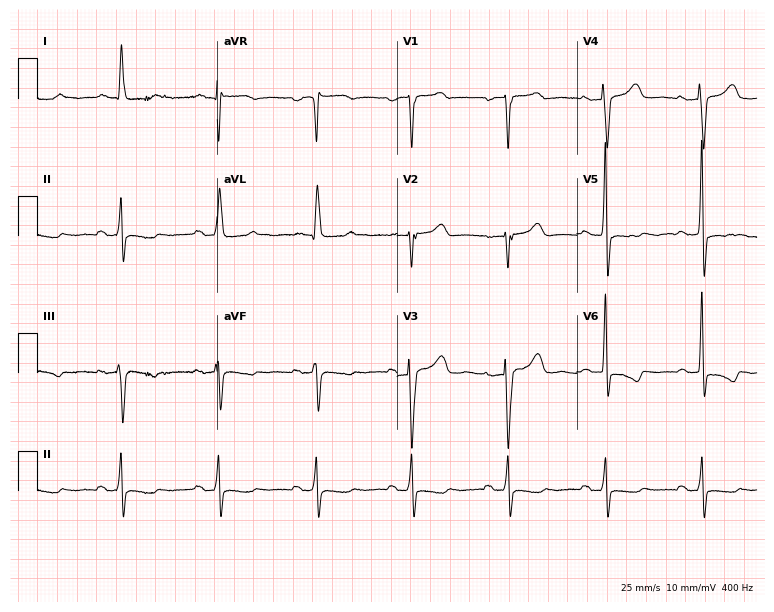
Standard 12-lead ECG recorded from a 70-year-old female patient. None of these six findings is recorded: first-degree AV block, right bundle branch block, left bundle branch block, sinus bradycardia, atrial fibrillation, sinus tachycardia. Only these six findings were labelled.